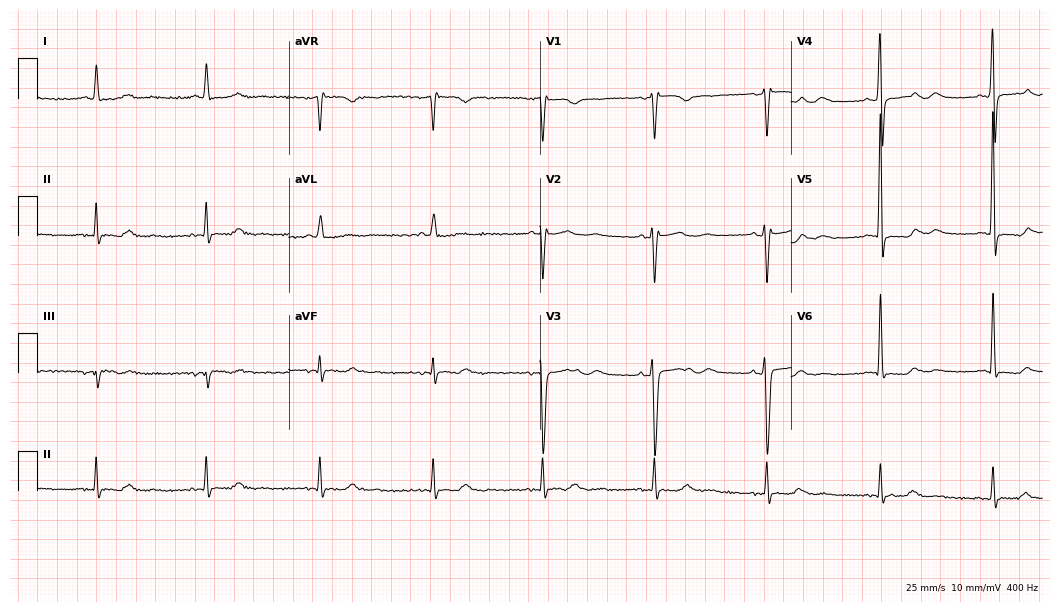
Electrocardiogram (10.2-second recording at 400 Hz), a female patient, 53 years old. Overall reading on record: normal ECG.